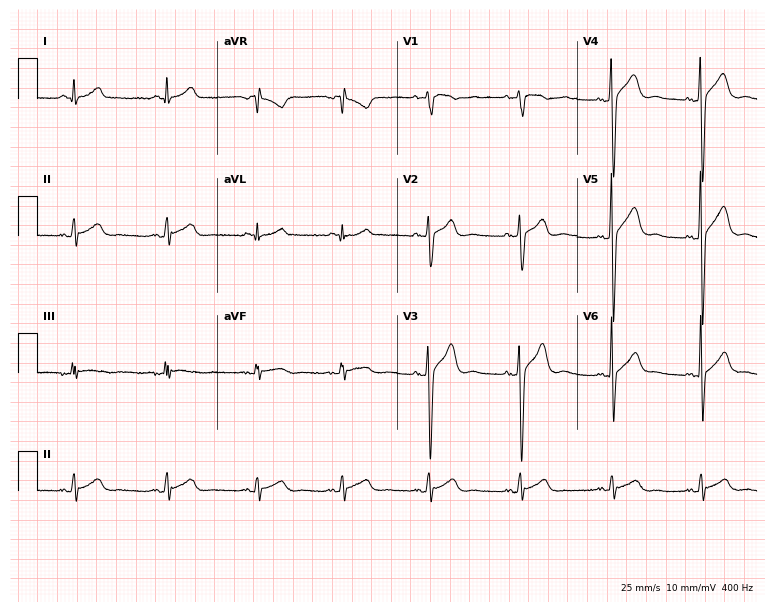
12-lead ECG from a 32-year-old male patient. Labelled as a normal ECG.